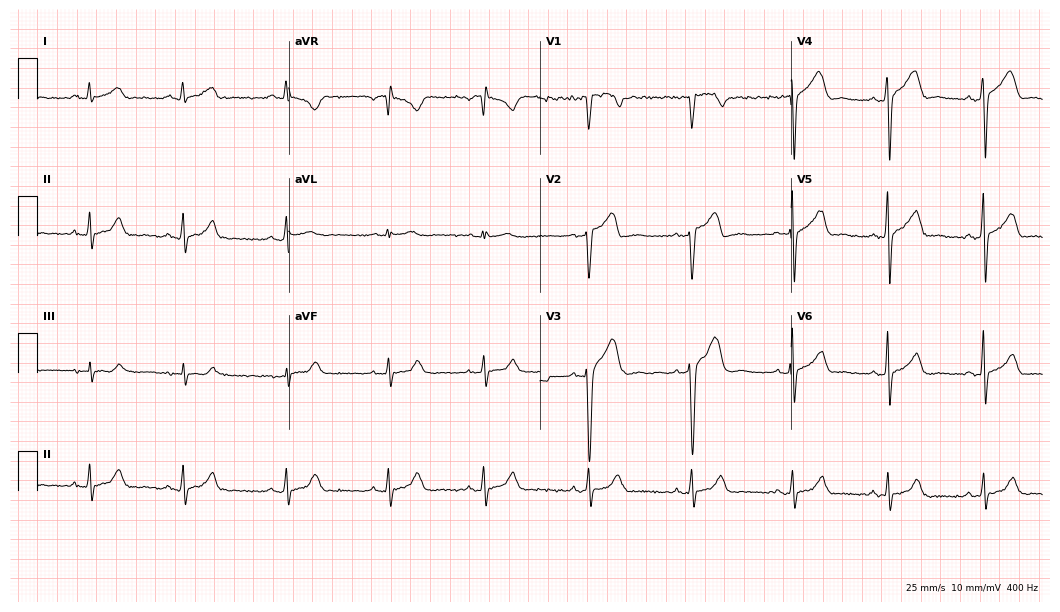
Electrocardiogram (10.2-second recording at 400 Hz), a man, 26 years old. Overall reading on record: normal ECG.